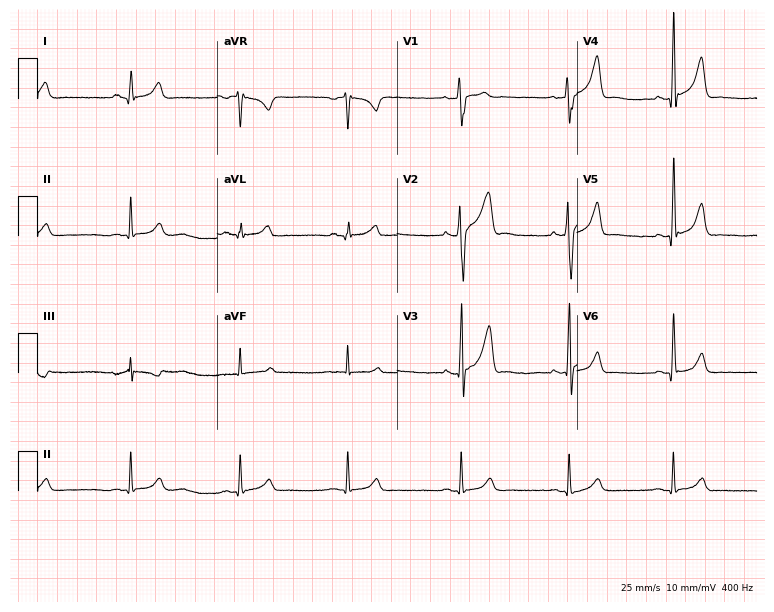
Resting 12-lead electrocardiogram (7.3-second recording at 400 Hz). Patient: a man, 29 years old. None of these six findings is recorded: first-degree AV block, right bundle branch block, left bundle branch block, sinus bradycardia, atrial fibrillation, sinus tachycardia.